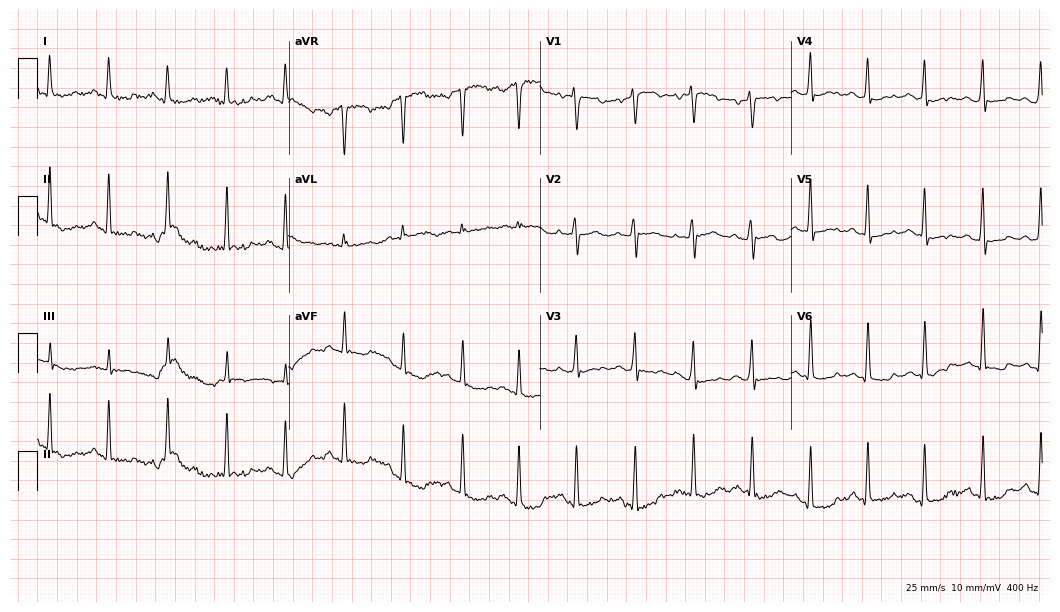
12-lead ECG (10.2-second recording at 400 Hz) from a 44-year-old male. Labelled as a normal ECG.